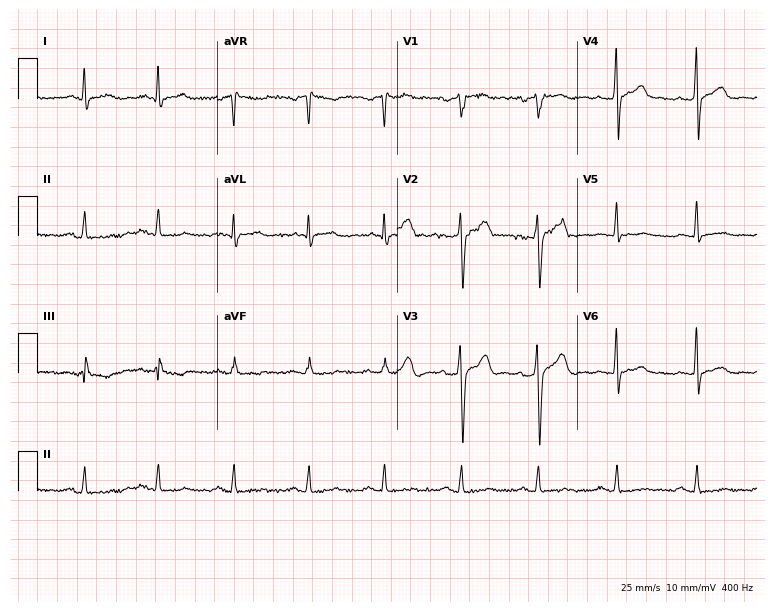
Resting 12-lead electrocardiogram. Patient: a male, 47 years old. Read as a normal ECG.